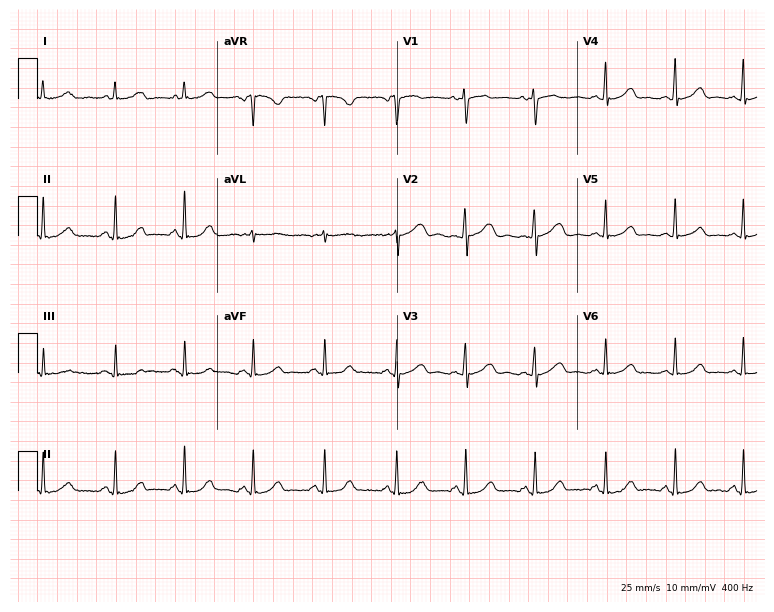
12-lead ECG (7.3-second recording at 400 Hz) from a 43-year-old woman. Labelled as a normal ECG.